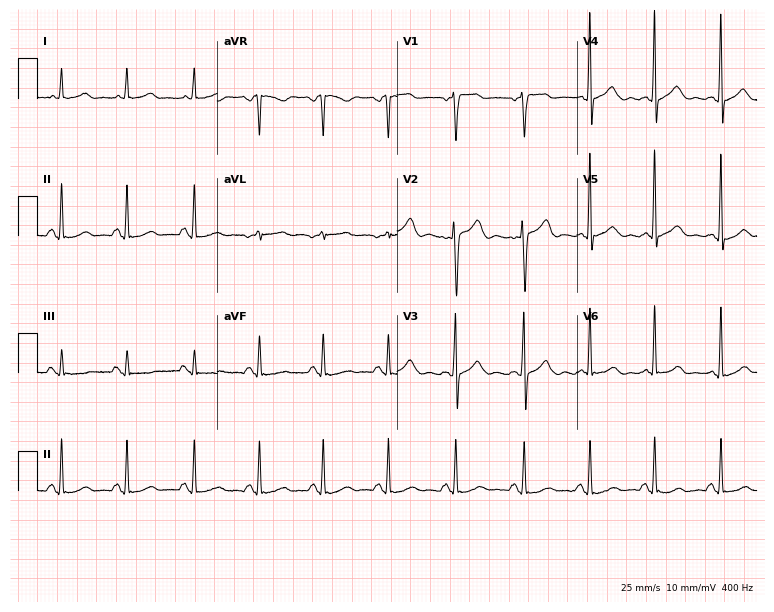
Standard 12-lead ECG recorded from a female, 49 years old. Read as a normal ECG.